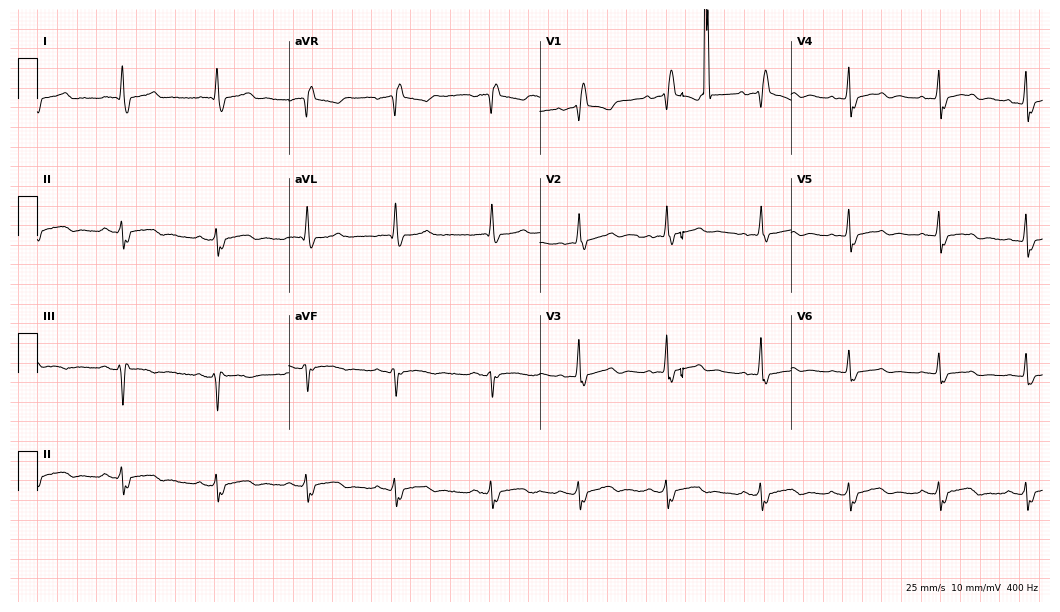
Resting 12-lead electrocardiogram. Patient: a woman, 63 years old. The tracing shows right bundle branch block (RBBB).